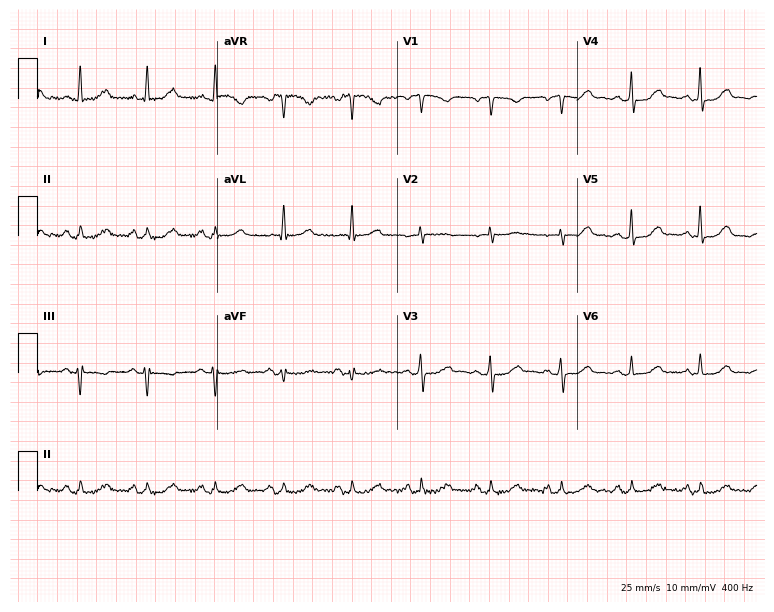
12-lead ECG from a female patient, 67 years old. Recorded interpretation: within normal limits.